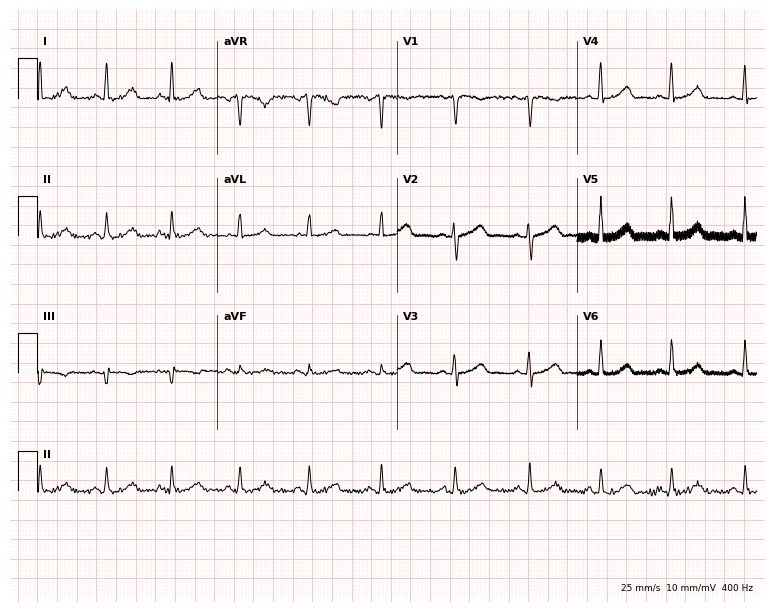
ECG (7.3-second recording at 400 Hz) — a 37-year-old female. Labelled as a normal ECG.